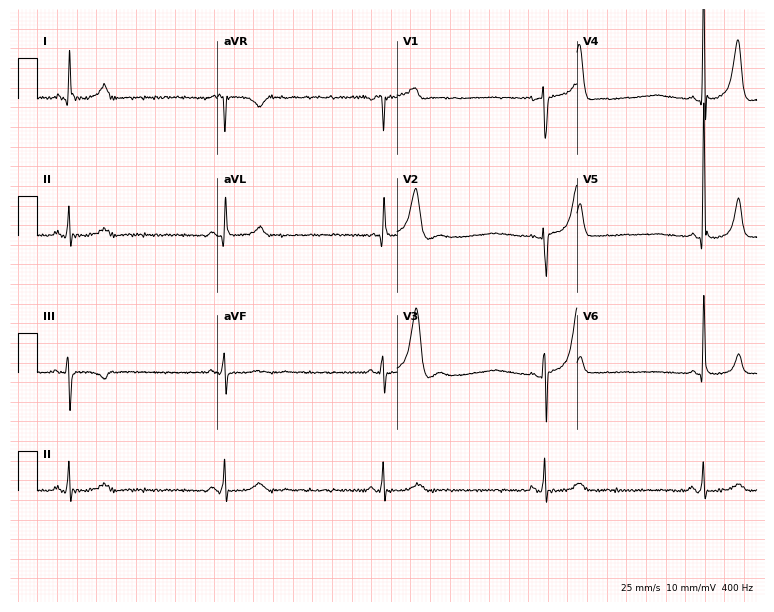
Resting 12-lead electrocardiogram (7.3-second recording at 400 Hz). Patient: a 65-year-old male. None of these six findings is recorded: first-degree AV block, right bundle branch block, left bundle branch block, sinus bradycardia, atrial fibrillation, sinus tachycardia. Findings outside these six are not listed.